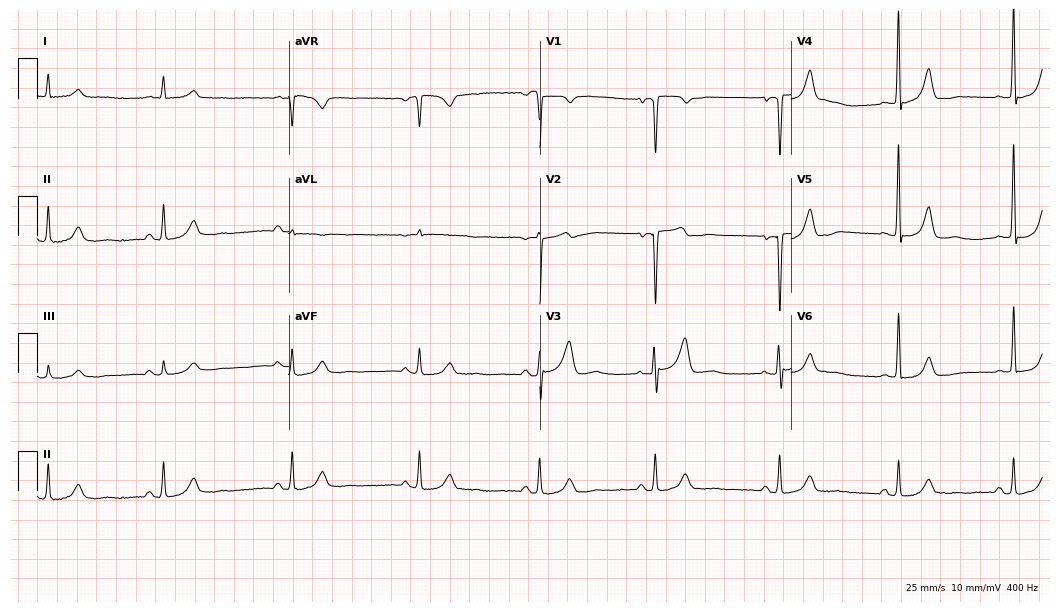
Electrocardiogram (10.2-second recording at 400 Hz), a female patient, 71 years old. Of the six screened findings (first-degree AV block, right bundle branch block (RBBB), left bundle branch block (LBBB), sinus bradycardia, atrial fibrillation (AF), sinus tachycardia), none is recorded.